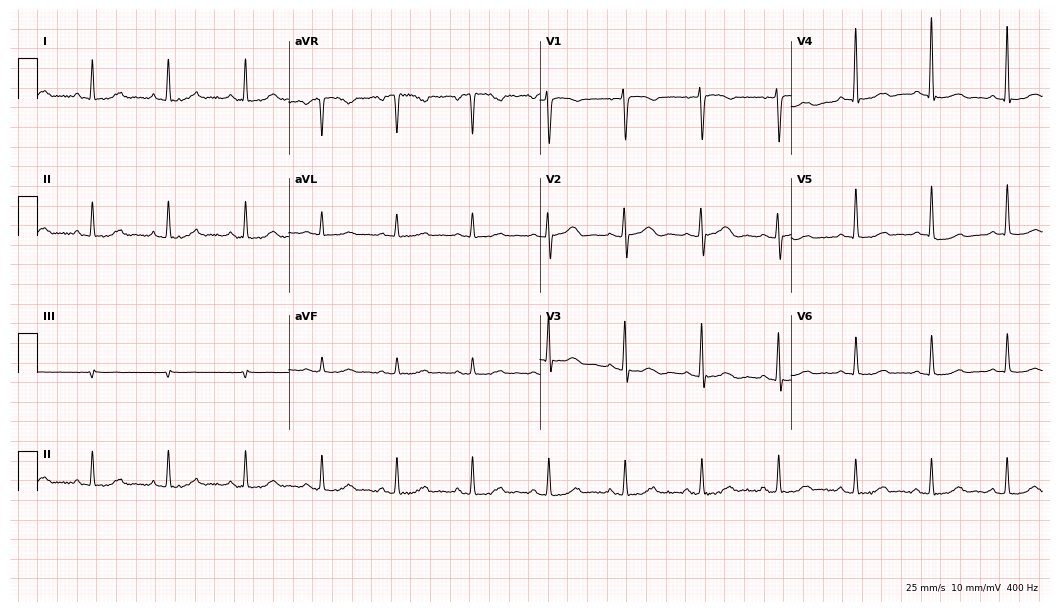
ECG — a woman, 67 years old. Labelled as a normal ECG.